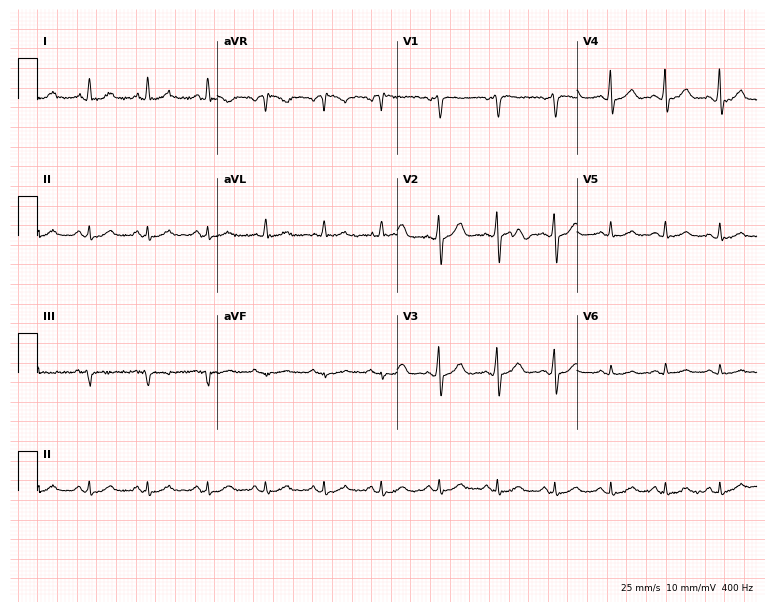
12-lead ECG from a 51-year-old male. Shows sinus tachycardia (a sinus rate of 100 beats per minute or more).